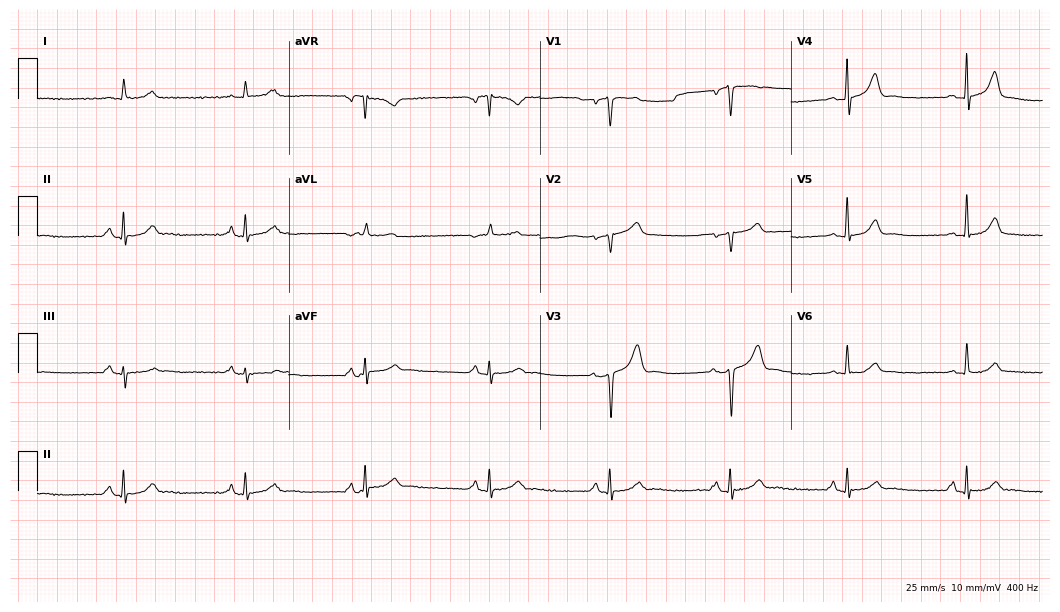
Resting 12-lead electrocardiogram. Patient: an 81-year-old male. The tracing shows sinus bradycardia (a sinus rate of 50 beats per minute or less).